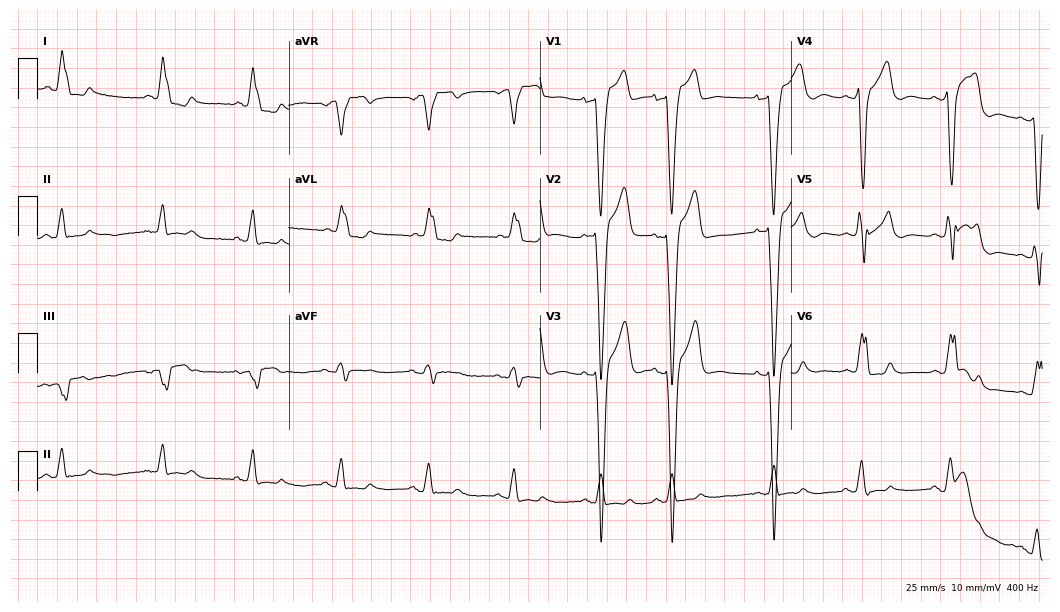
12-lead ECG from a female patient, 75 years old (10.2-second recording at 400 Hz). Shows left bundle branch block (LBBB).